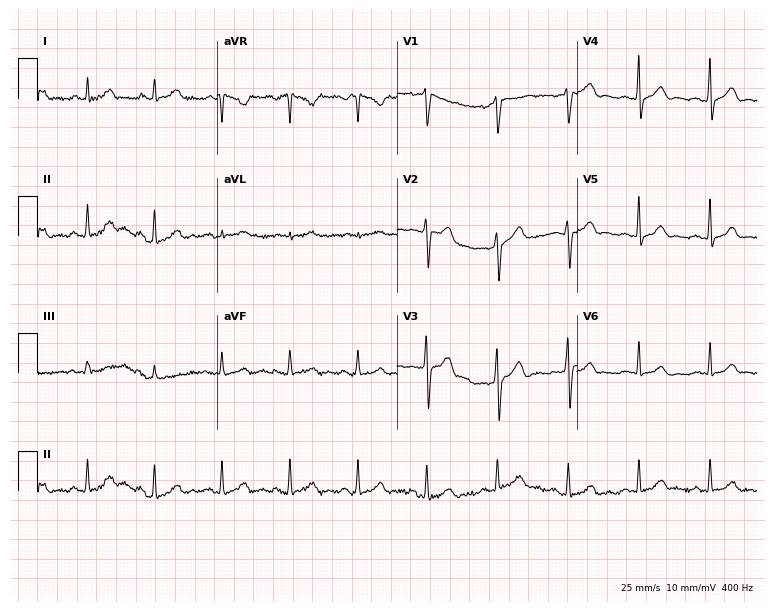
ECG (7.3-second recording at 400 Hz) — a 32-year-old male patient. Screened for six findings — first-degree AV block, right bundle branch block (RBBB), left bundle branch block (LBBB), sinus bradycardia, atrial fibrillation (AF), sinus tachycardia — none is recorded. Only these six findings were labelled.